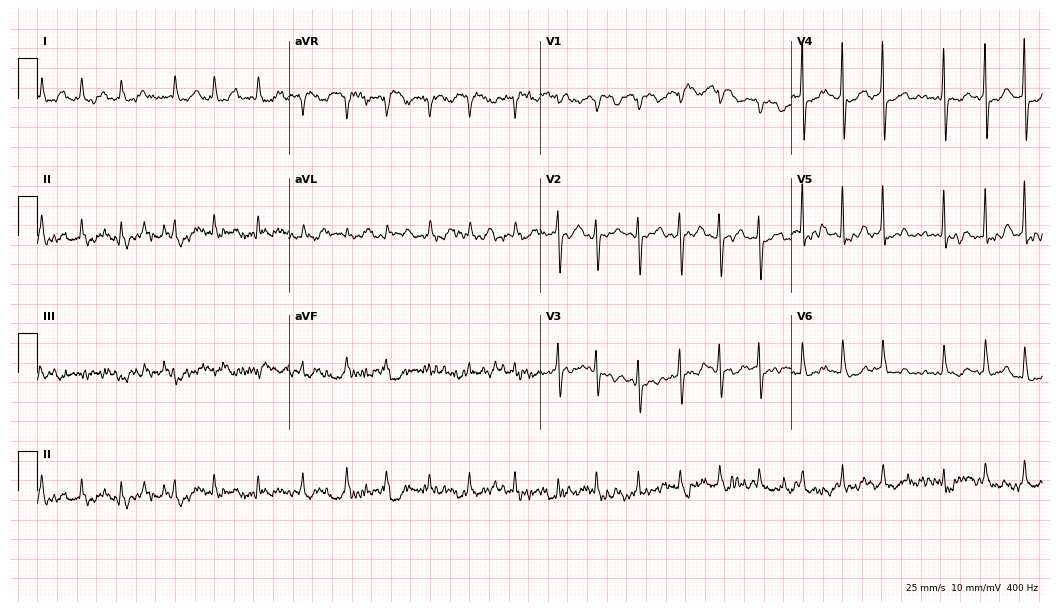
Electrocardiogram (10.2-second recording at 400 Hz), an 83-year-old female patient. Of the six screened findings (first-degree AV block, right bundle branch block, left bundle branch block, sinus bradycardia, atrial fibrillation, sinus tachycardia), none is recorded.